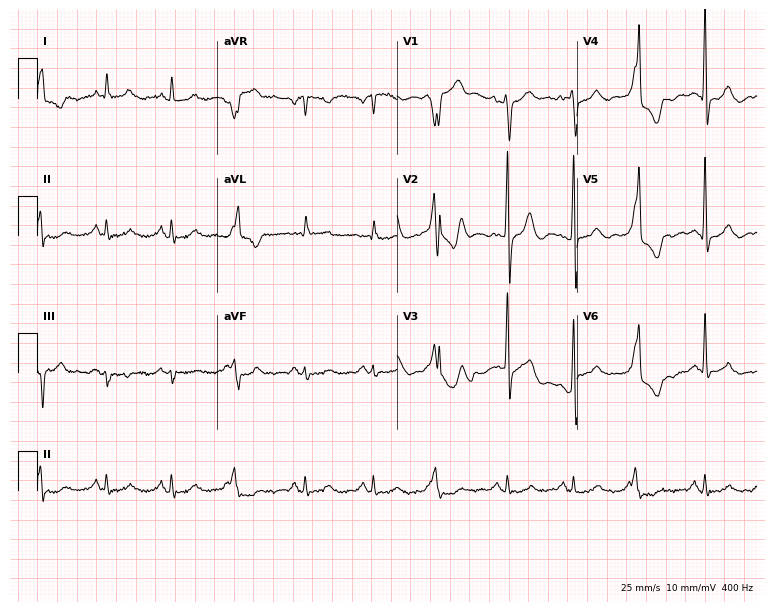
12-lead ECG from a 64-year-old male. Screened for six findings — first-degree AV block, right bundle branch block (RBBB), left bundle branch block (LBBB), sinus bradycardia, atrial fibrillation (AF), sinus tachycardia — none is recorded.